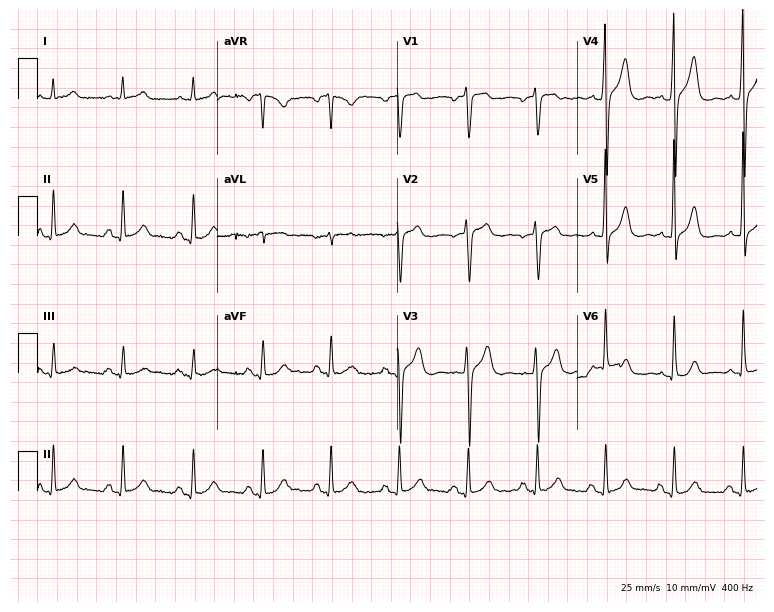
Standard 12-lead ECG recorded from a 64-year-old male patient. Read as a normal ECG.